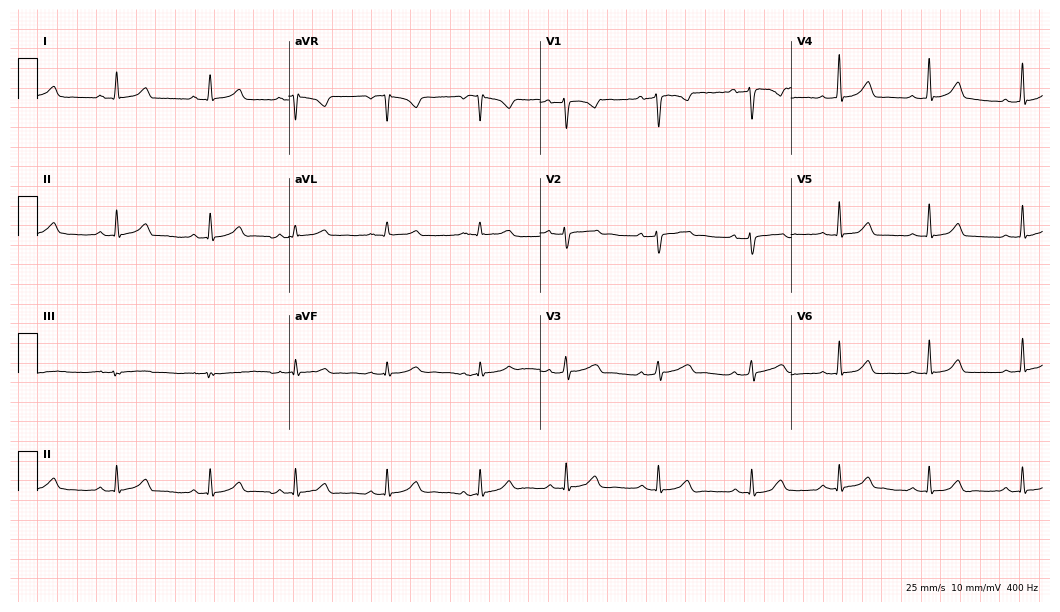
Resting 12-lead electrocardiogram (10.2-second recording at 400 Hz). Patient: a 25-year-old woman. Read as a normal ECG.